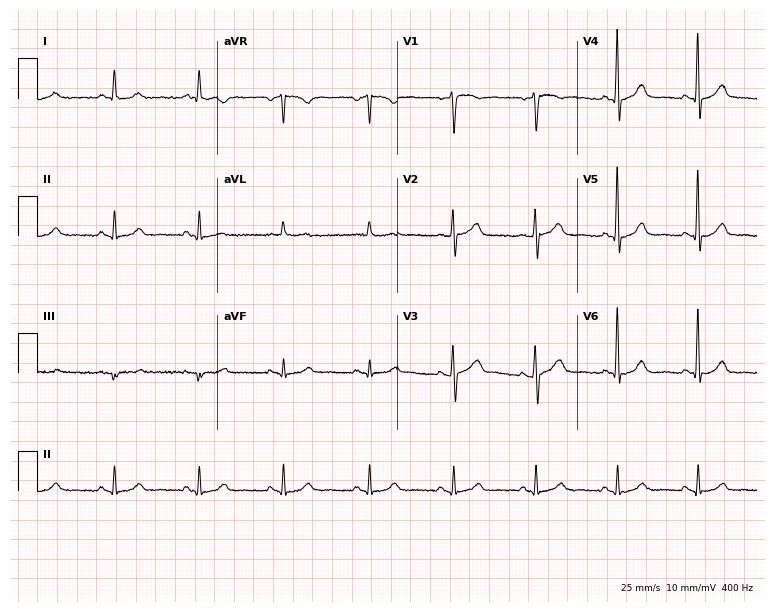
12-lead ECG from a man, 60 years old (7.3-second recording at 400 Hz). Recorded interpretation: within normal limits.